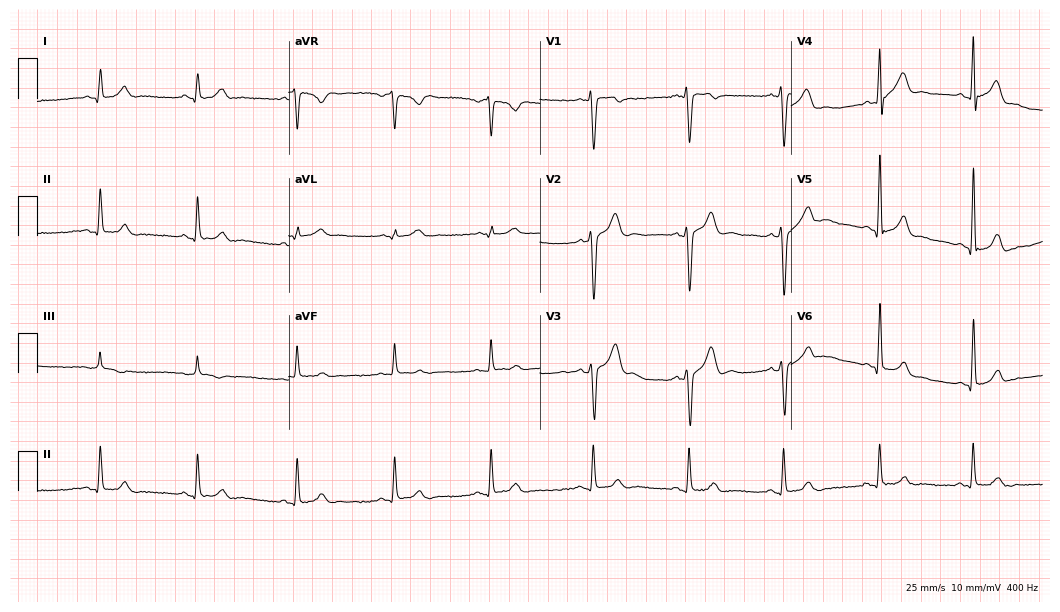
12-lead ECG from a male, 22 years old. Labelled as a normal ECG.